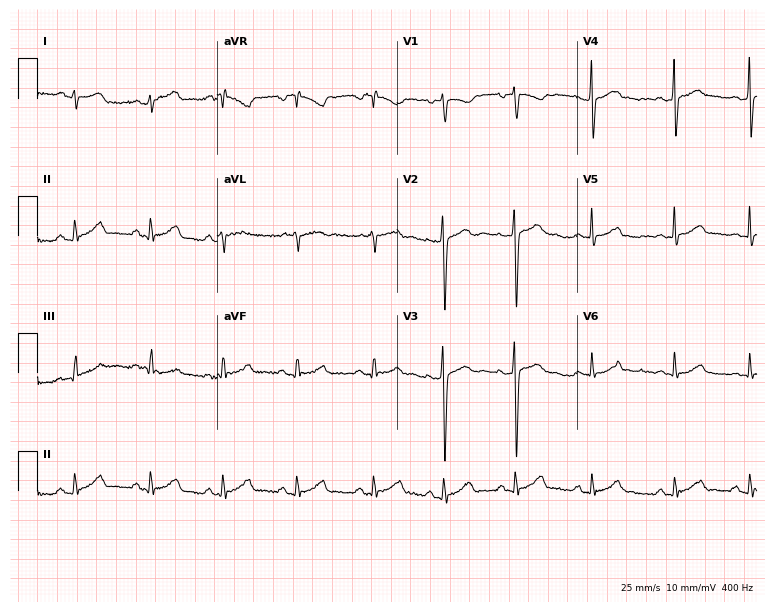
12-lead ECG from a man, 22 years old. Screened for six findings — first-degree AV block, right bundle branch block, left bundle branch block, sinus bradycardia, atrial fibrillation, sinus tachycardia — none is recorded. Only these six findings were labelled.